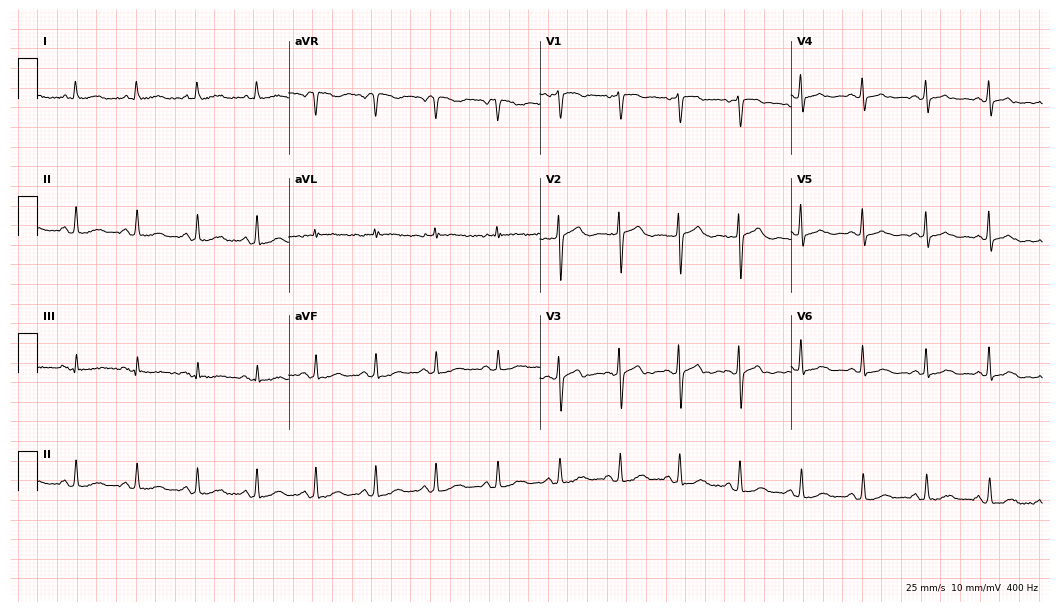
ECG — a woman, 75 years old. Screened for six findings — first-degree AV block, right bundle branch block (RBBB), left bundle branch block (LBBB), sinus bradycardia, atrial fibrillation (AF), sinus tachycardia — none is recorded. Only these six findings were labelled.